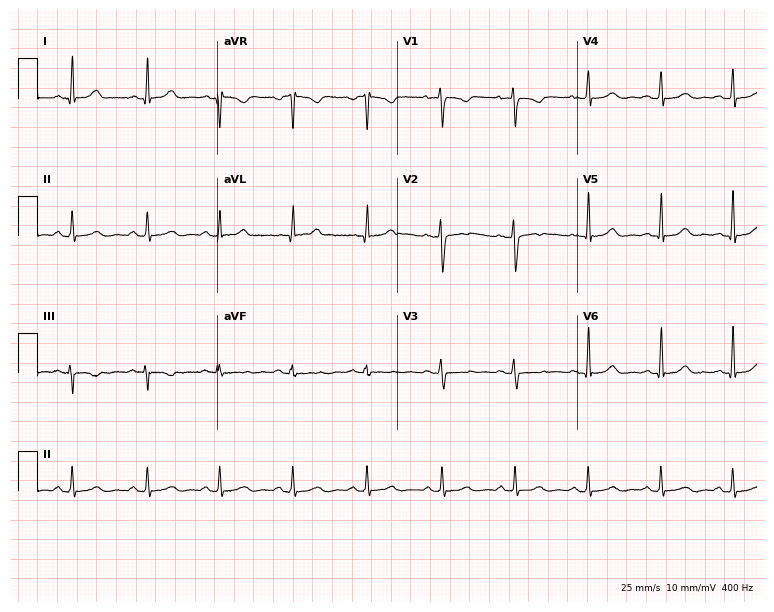
Standard 12-lead ECG recorded from a female patient, 32 years old. Read as a normal ECG.